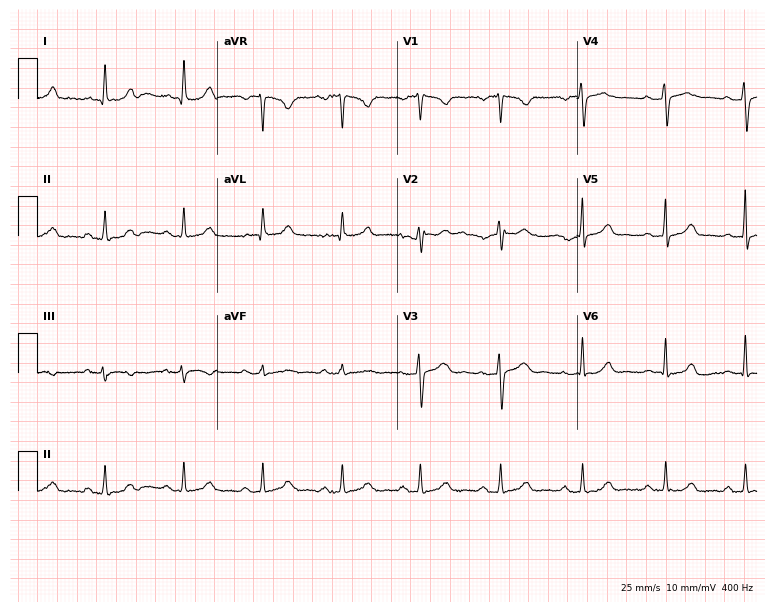
12-lead ECG from a female patient, 34 years old (7.3-second recording at 400 Hz). Recorded interpretation: within normal limits.